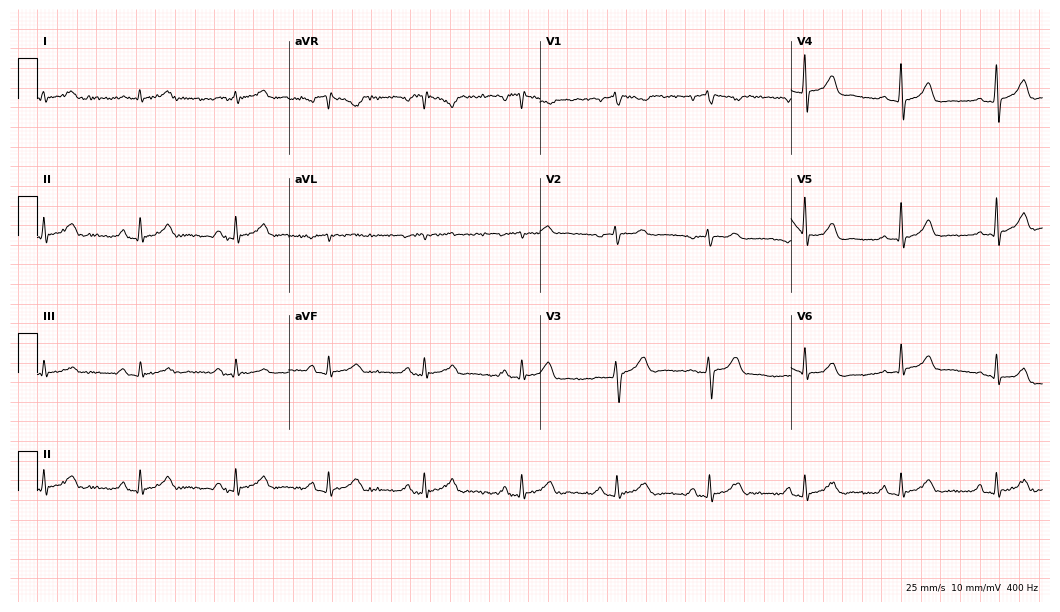
12-lead ECG (10.2-second recording at 400 Hz) from an 85-year-old man. Labelled as a normal ECG.